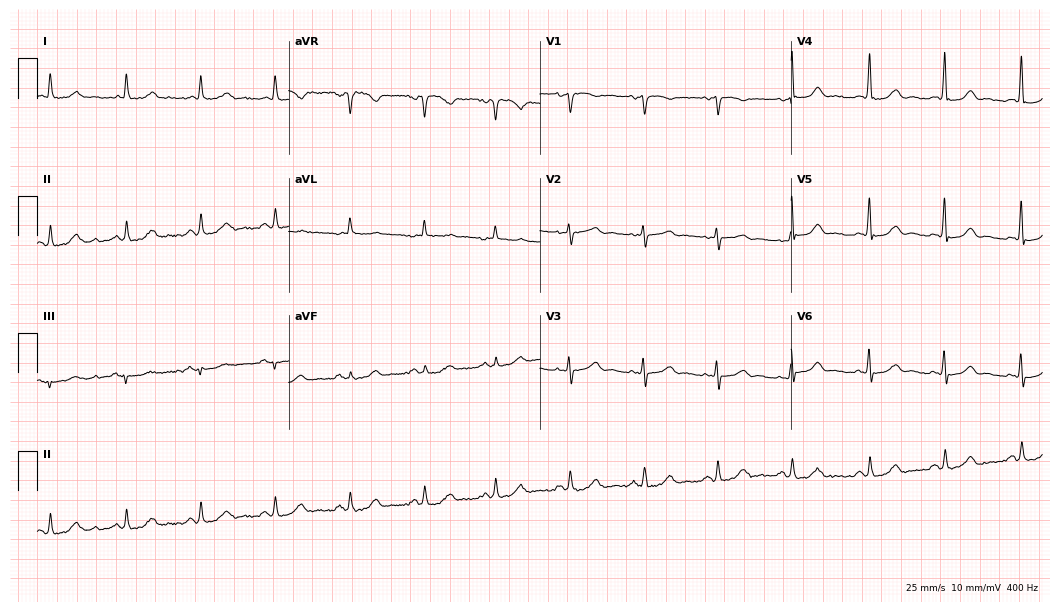
12-lead ECG (10.2-second recording at 400 Hz) from a 64-year-old woman. Screened for six findings — first-degree AV block, right bundle branch block, left bundle branch block, sinus bradycardia, atrial fibrillation, sinus tachycardia — none is recorded. Findings outside these six are not listed.